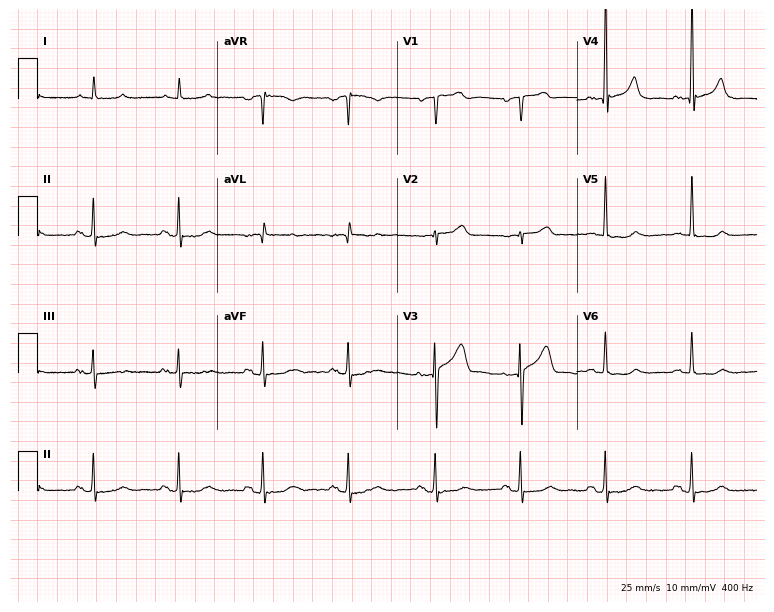
Resting 12-lead electrocardiogram. Patient: a male, 75 years old. None of these six findings is recorded: first-degree AV block, right bundle branch block, left bundle branch block, sinus bradycardia, atrial fibrillation, sinus tachycardia.